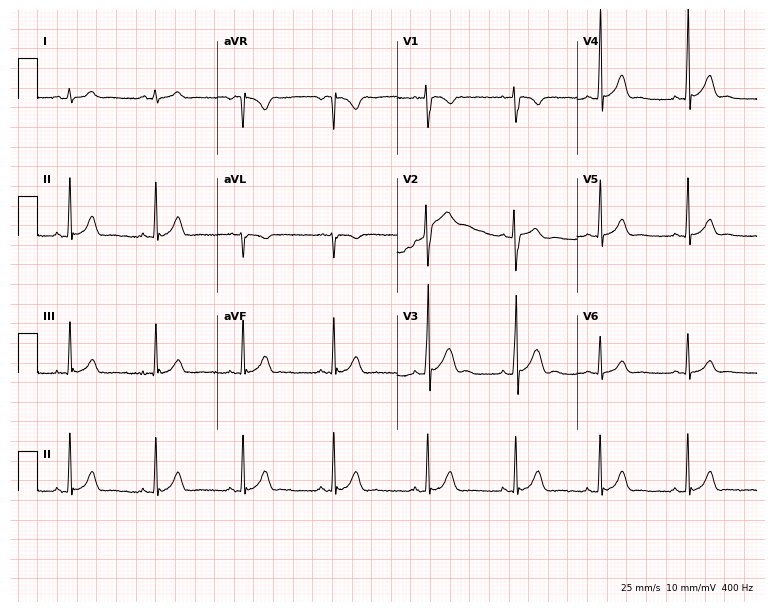
Electrocardiogram, a male, 17 years old. Overall reading on record: normal ECG.